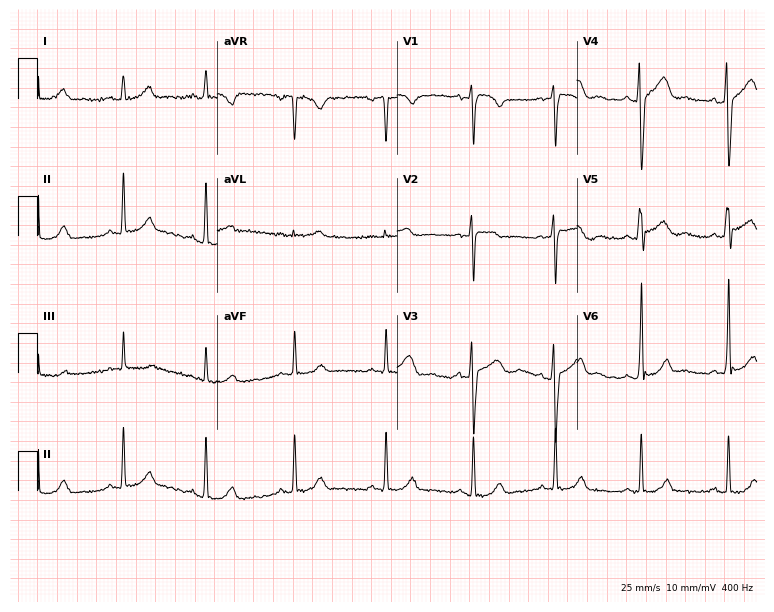
Resting 12-lead electrocardiogram (7.3-second recording at 400 Hz). Patient: a 22-year-old male. None of these six findings is recorded: first-degree AV block, right bundle branch block, left bundle branch block, sinus bradycardia, atrial fibrillation, sinus tachycardia. Findings outside these six are not listed.